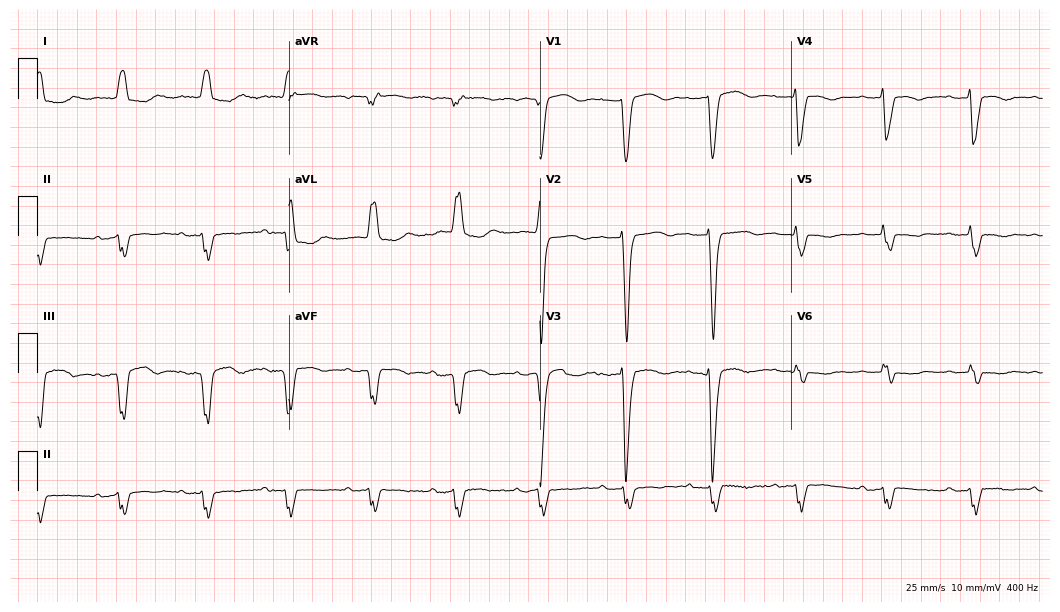
Resting 12-lead electrocardiogram (10.2-second recording at 400 Hz). Patient: a woman, 83 years old. The tracing shows left bundle branch block (LBBB).